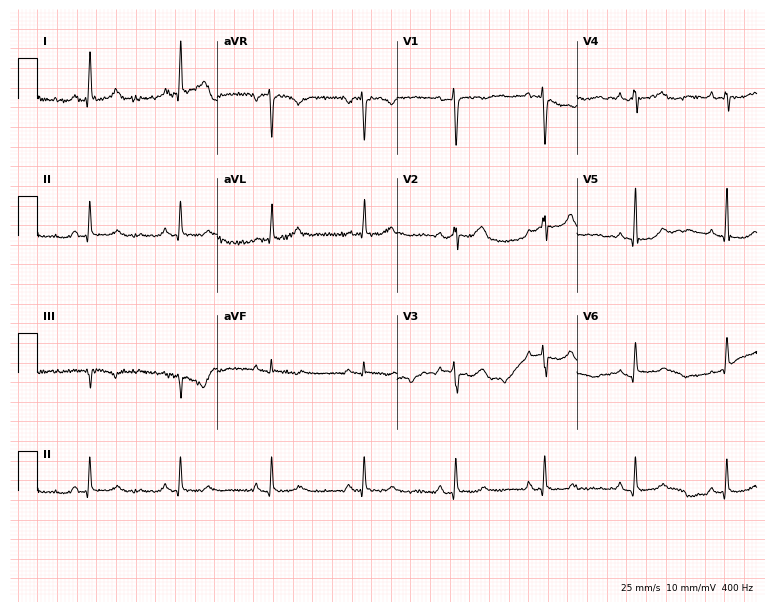
ECG (7.3-second recording at 400 Hz) — a female patient, 58 years old. Screened for six findings — first-degree AV block, right bundle branch block (RBBB), left bundle branch block (LBBB), sinus bradycardia, atrial fibrillation (AF), sinus tachycardia — none is recorded. Findings outside these six are not listed.